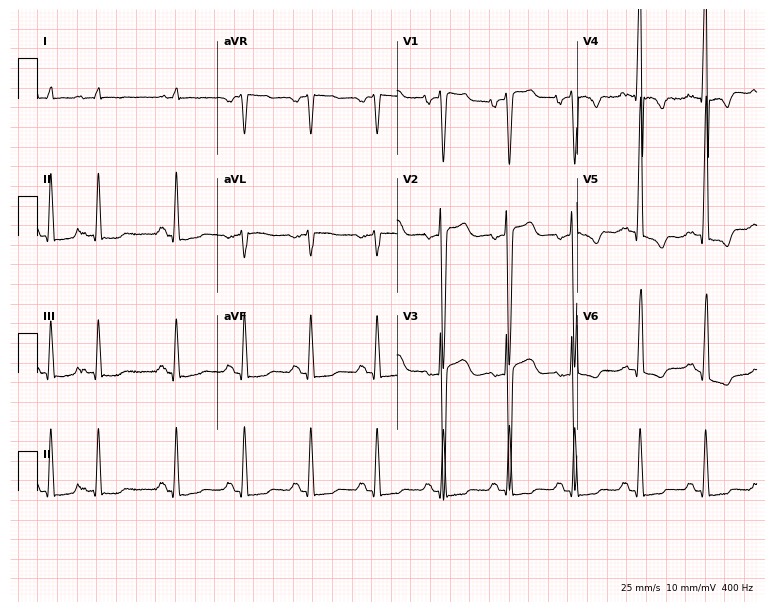
ECG (7.3-second recording at 400 Hz) — a 76-year-old male. Screened for six findings — first-degree AV block, right bundle branch block, left bundle branch block, sinus bradycardia, atrial fibrillation, sinus tachycardia — none is recorded.